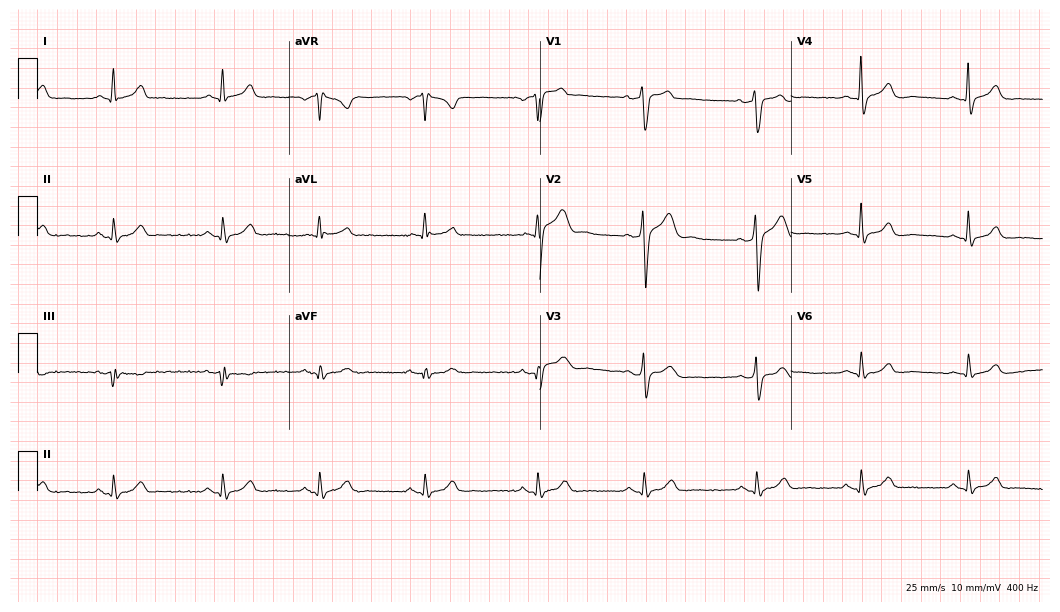
Electrocardiogram (10.2-second recording at 400 Hz), a man, 38 years old. Of the six screened findings (first-degree AV block, right bundle branch block, left bundle branch block, sinus bradycardia, atrial fibrillation, sinus tachycardia), none is recorded. Findings outside these six are not listed.